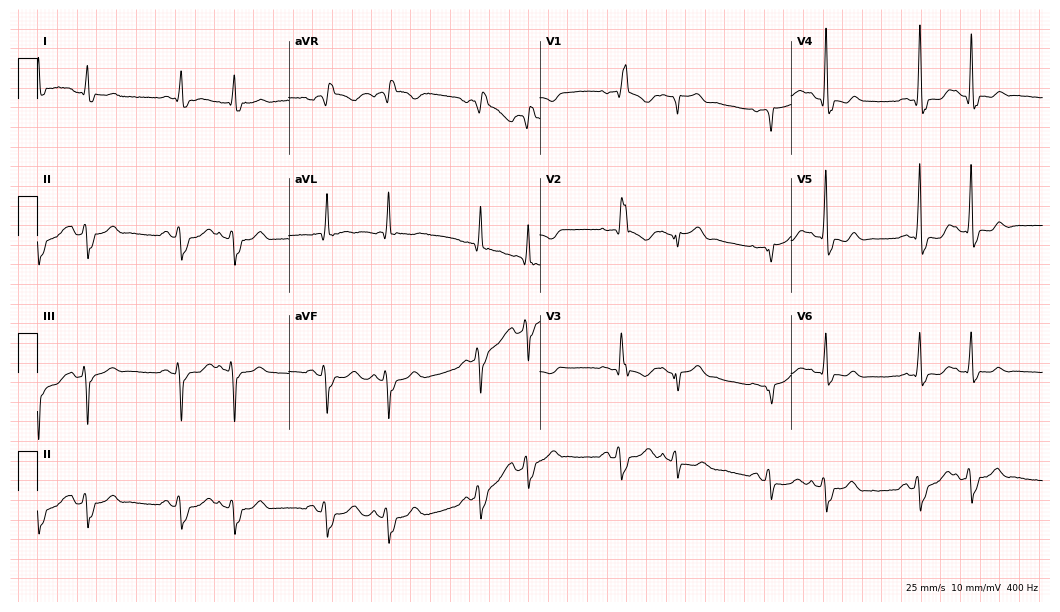
Resting 12-lead electrocardiogram (10.2-second recording at 400 Hz). Patient: a 66-year-old male. None of these six findings is recorded: first-degree AV block, right bundle branch block (RBBB), left bundle branch block (LBBB), sinus bradycardia, atrial fibrillation (AF), sinus tachycardia. Only these six findings were labelled.